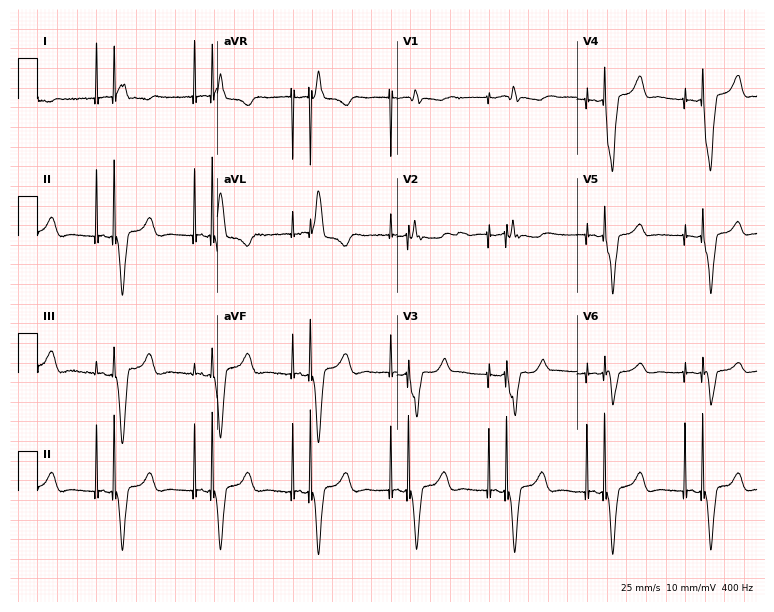
ECG — a female, 80 years old. Screened for six findings — first-degree AV block, right bundle branch block (RBBB), left bundle branch block (LBBB), sinus bradycardia, atrial fibrillation (AF), sinus tachycardia — none is recorded.